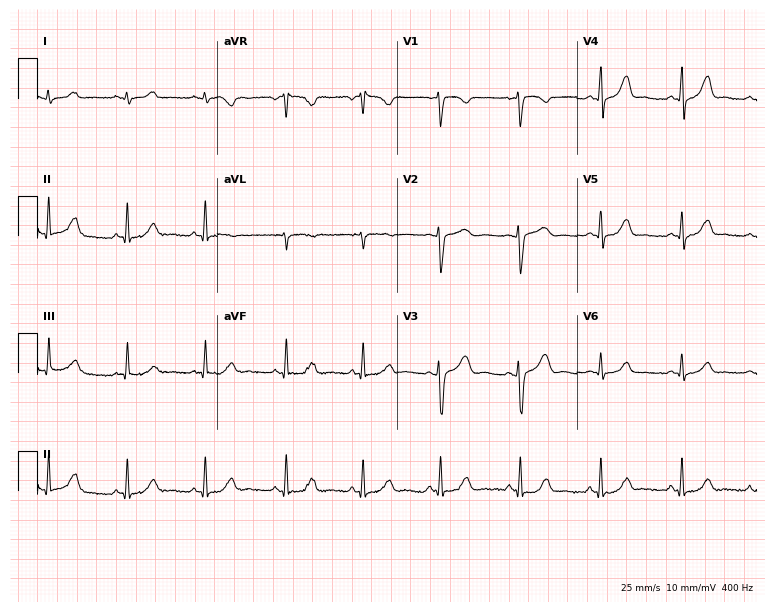
12-lead ECG from a female patient, 35 years old (7.3-second recording at 400 Hz). Recorded interpretation: within normal limits.